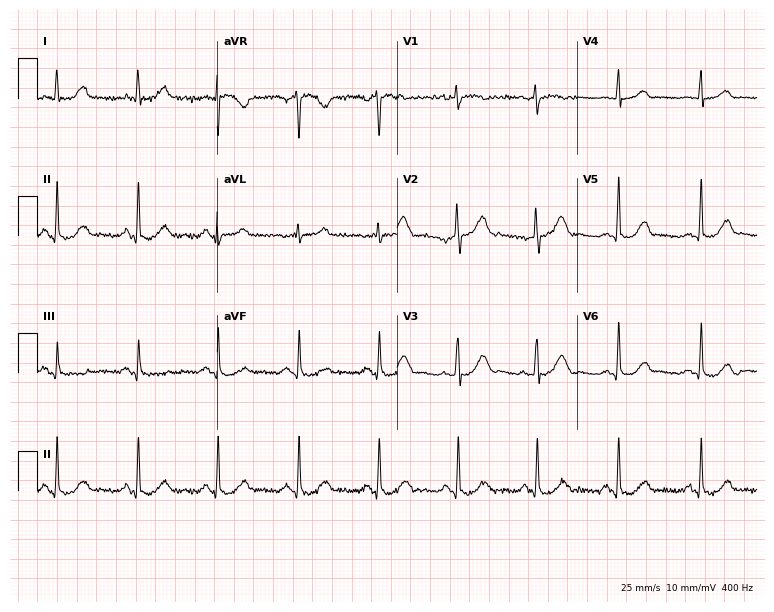
Standard 12-lead ECG recorded from a 53-year-old female. Read as a normal ECG.